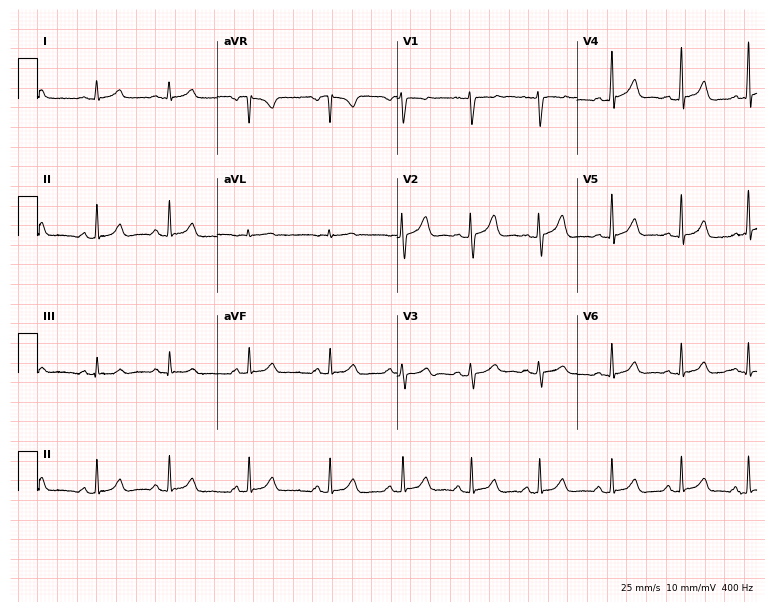
Electrocardiogram (7.3-second recording at 400 Hz), a 22-year-old female. Overall reading on record: normal ECG.